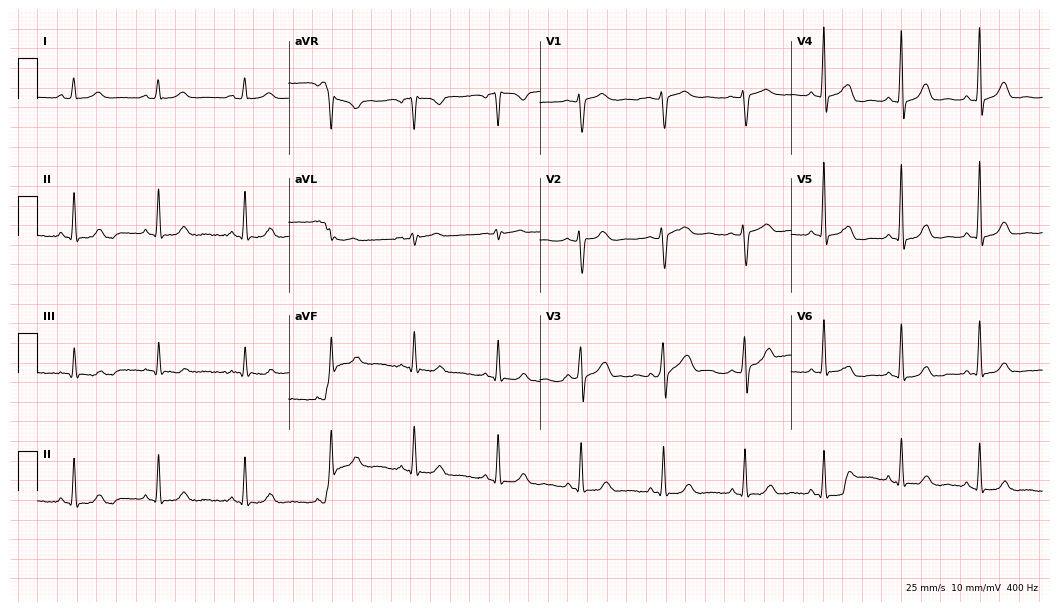
Standard 12-lead ECG recorded from a woman, 55 years old (10.2-second recording at 400 Hz). Read as a normal ECG.